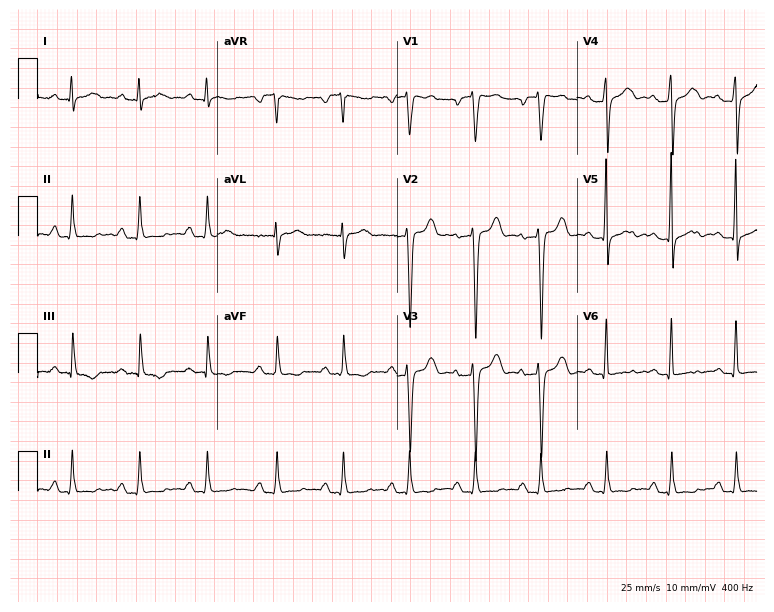
ECG — a male, 46 years old. Screened for six findings — first-degree AV block, right bundle branch block, left bundle branch block, sinus bradycardia, atrial fibrillation, sinus tachycardia — none is recorded.